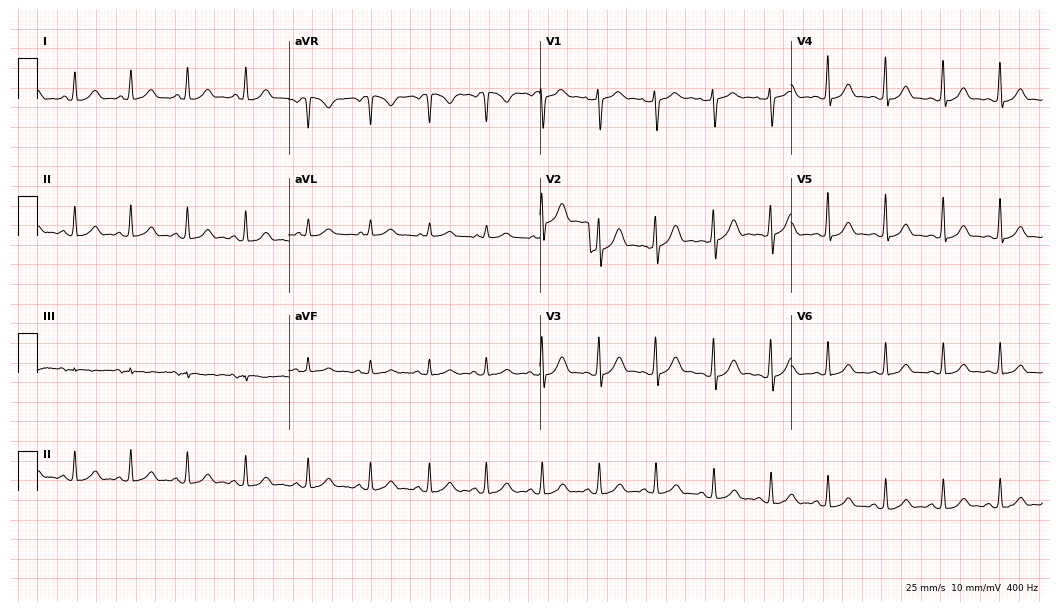
12-lead ECG from a female patient, 27 years old (10.2-second recording at 400 Hz). Shows sinus tachycardia (a sinus rate of 100 beats per minute or more).